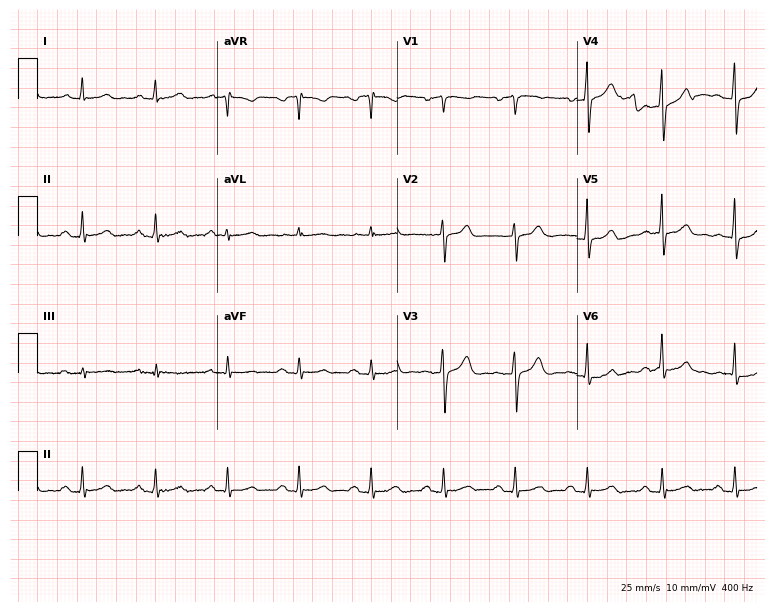
Electrocardiogram, a 52-year-old male. Overall reading on record: normal ECG.